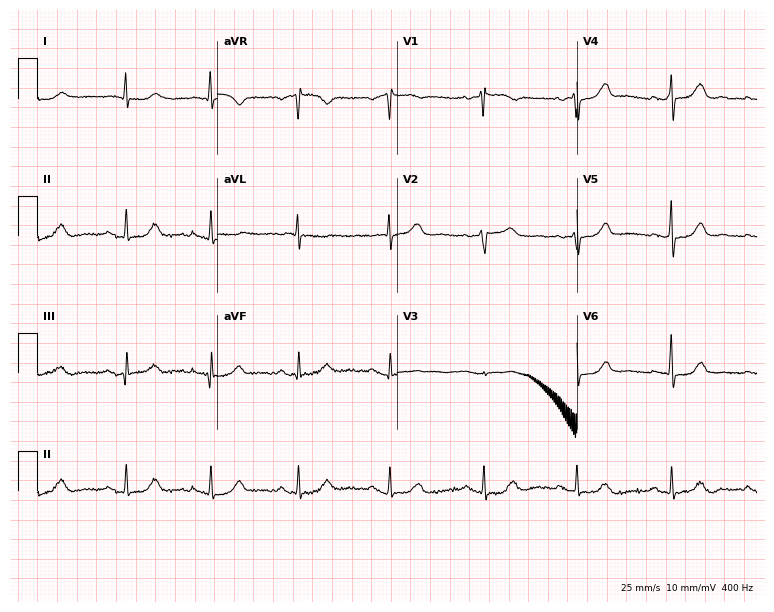
Standard 12-lead ECG recorded from a female patient, 85 years old (7.3-second recording at 400 Hz). None of these six findings is recorded: first-degree AV block, right bundle branch block, left bundle branch block, sinus bradycardia, atrial fibrillation, sinus tachycardia. Other findings, if any, are not listed.